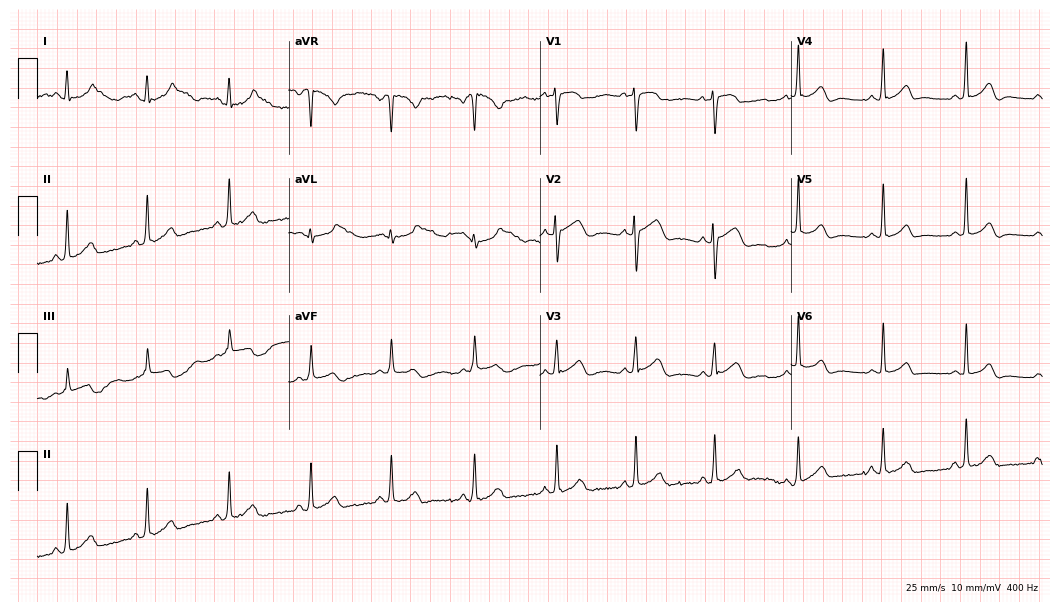
Standard 12-lead ECG recorded from a 23-year-old woman (10.2-second recording at 400 Hz). None of these six findings is recorded: first-degree AV block, right bundle branch block, left bundle branch block, sinus bradycardia, atrial fibrillation, sinus tachycardia. Findings outside these six are not listed.